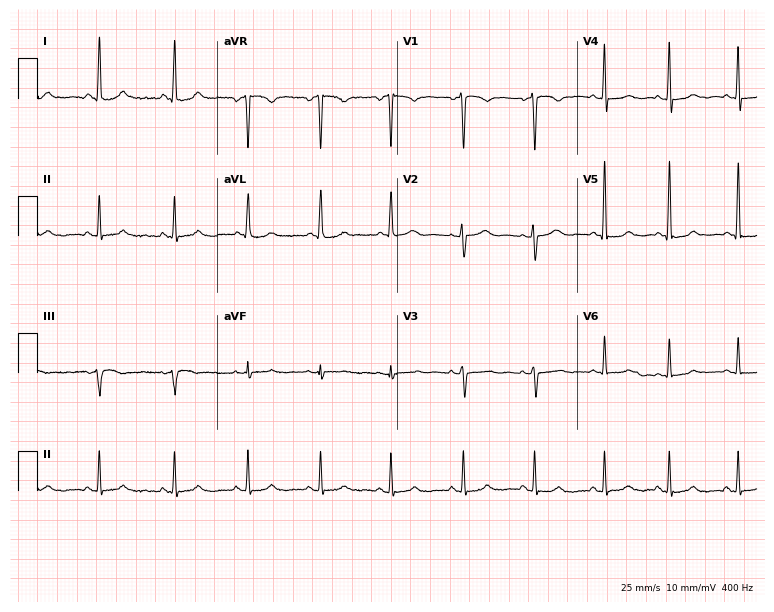
Standard 12-lead ECG recorded from a woman, 36 years old. None of these six findings is recorded: first-degree AV block, right bundle branch block, left bundle branch block, sinus bradycardia, atrial fibrillation, sinus tachycardia.